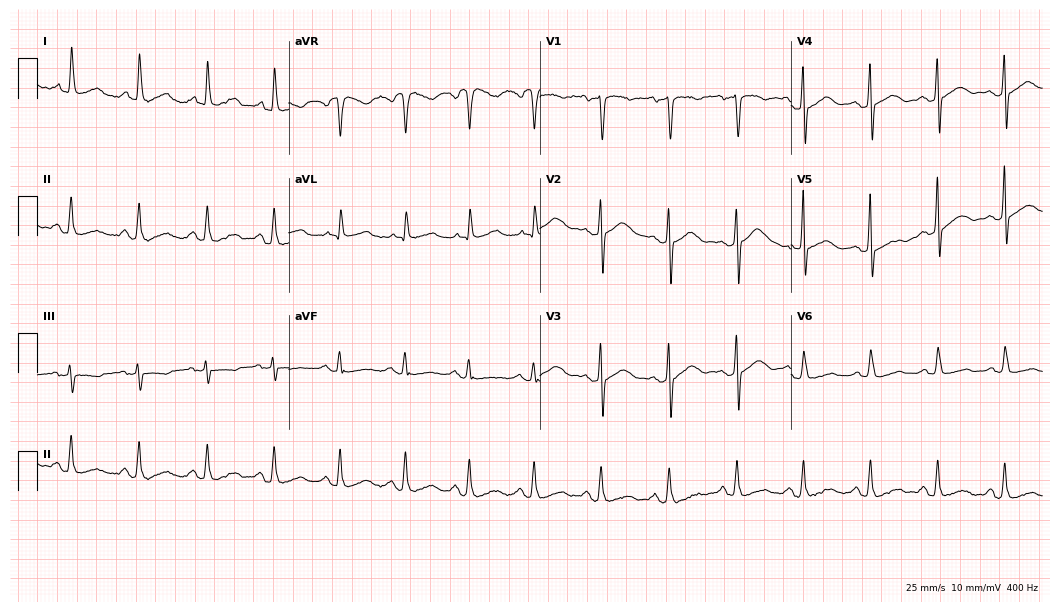
ECG — a 50-year-old male patient. Labelled as a normal ECG.